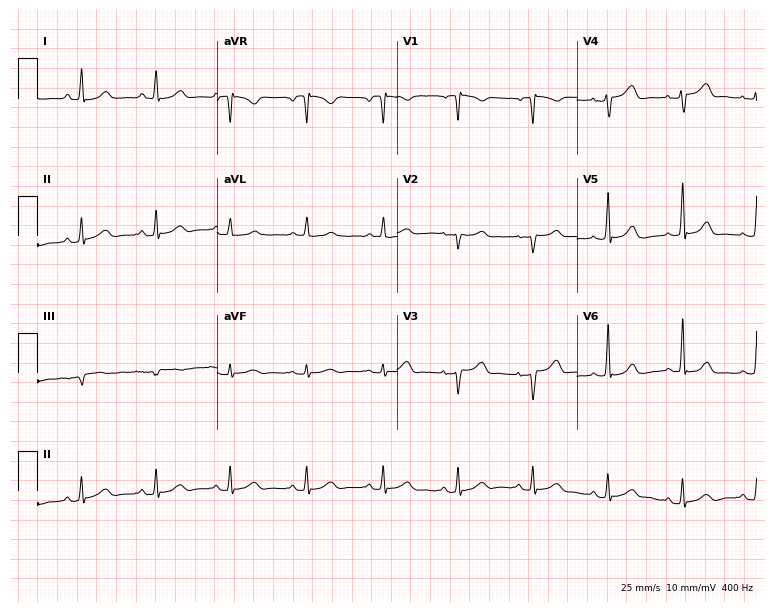
12-lead ECG from a female patient, 34 years old. No first-degree AV block, right bundle branch block, left bundle branch block, sinus bradycardia, atrial fibrillation or sinus tachycardia recorded for this tracing.